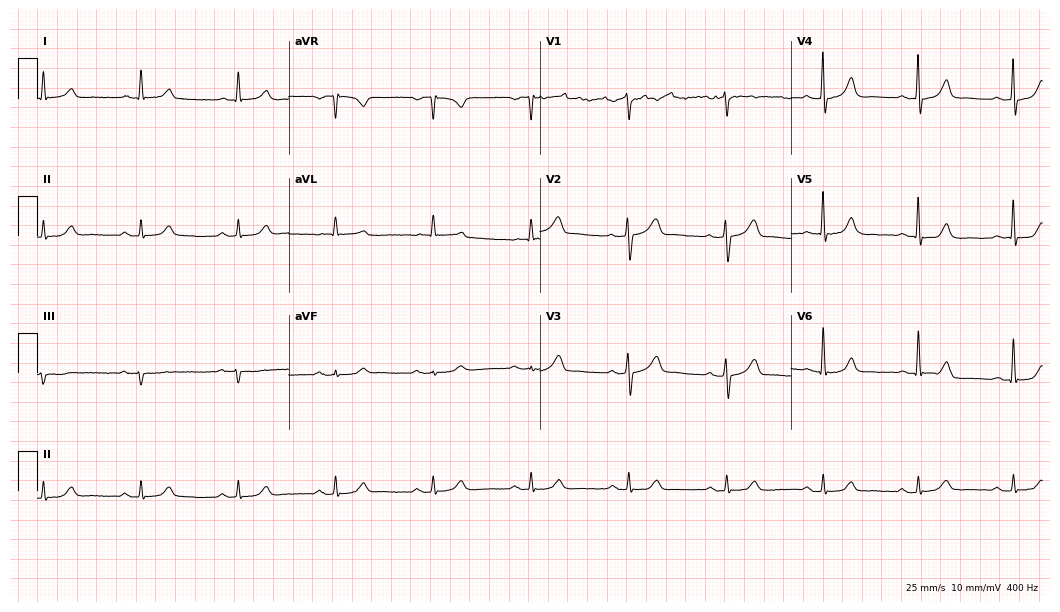
Resting 12-lead electrocardiogram (10.2-second recording at 400 Hz). Patient: a male, 84 years old. None of these six findings is recorded: first-degree AV block, right bundle branch block (RBBB), left bundle branch block (LBBB), sinus bradycardia, atrial fibrillation (AF), sinus tachycardia. Findings outside these six are not listed.